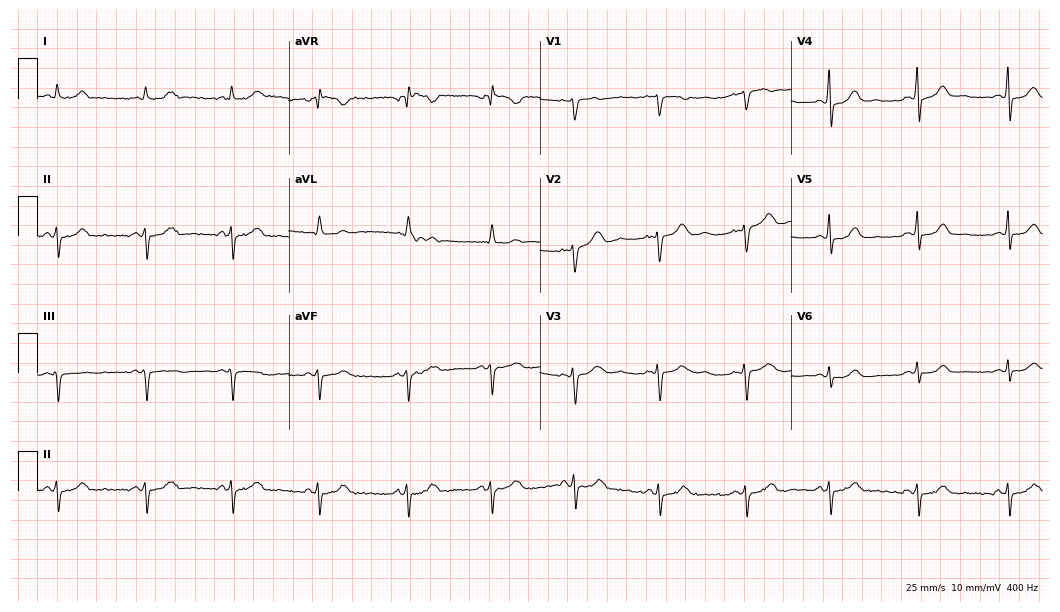
Electrocardiogram (10.2-second recording at 400 Hz), a female patient, 42 years old. Of the six screened findings (first-degree AV block, right bundle branch block, left bundle branch block, sinus bradycardia, atrial fibrillation, sinus tachycardia), none is recorded.